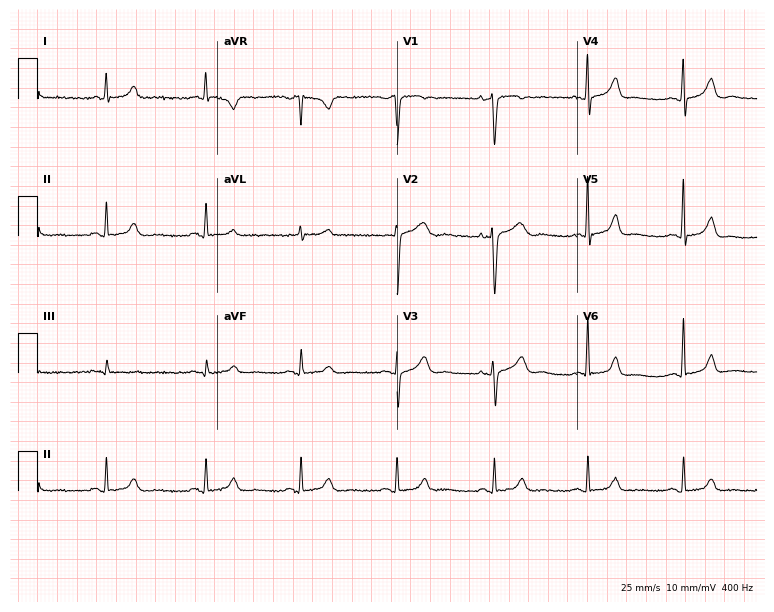
12-lead ECG from a female, 47 years old. Labelled as a normal ECG.